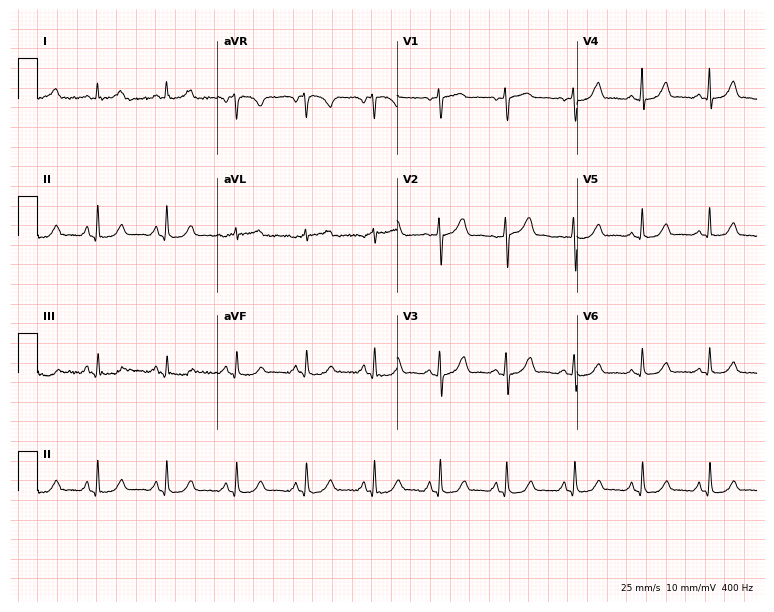
Standard 12-lead ECG recorded from a woman, 64 years old (7.3-second recording at 400 Hz). Read as a normal ECG.